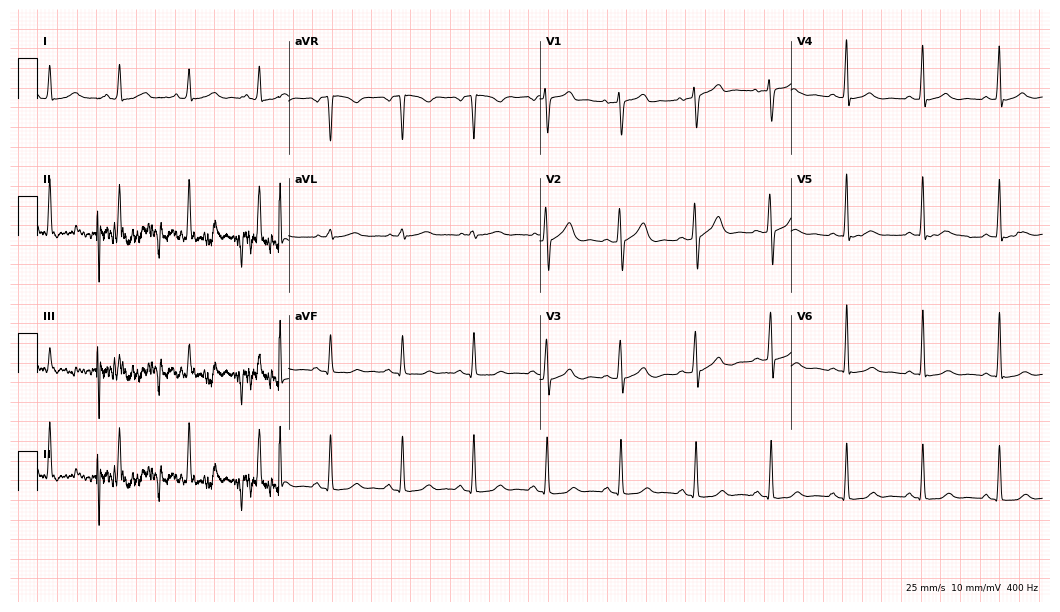
ECG — a male patient, 48 years old. Labelled as a normal ECG.